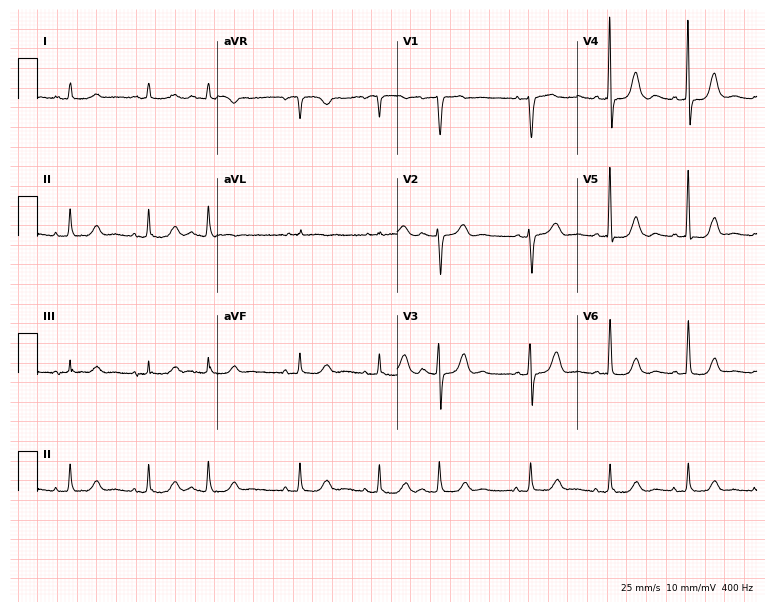
ECG — a female, 71 years old. Screened for six findings — first-degree AV block, right bundle branch block, left bundle branch block, sinus bradycardia, atrial fibrillation, sinus tachycardia — none is recorded. Findings outside these six are not listed.